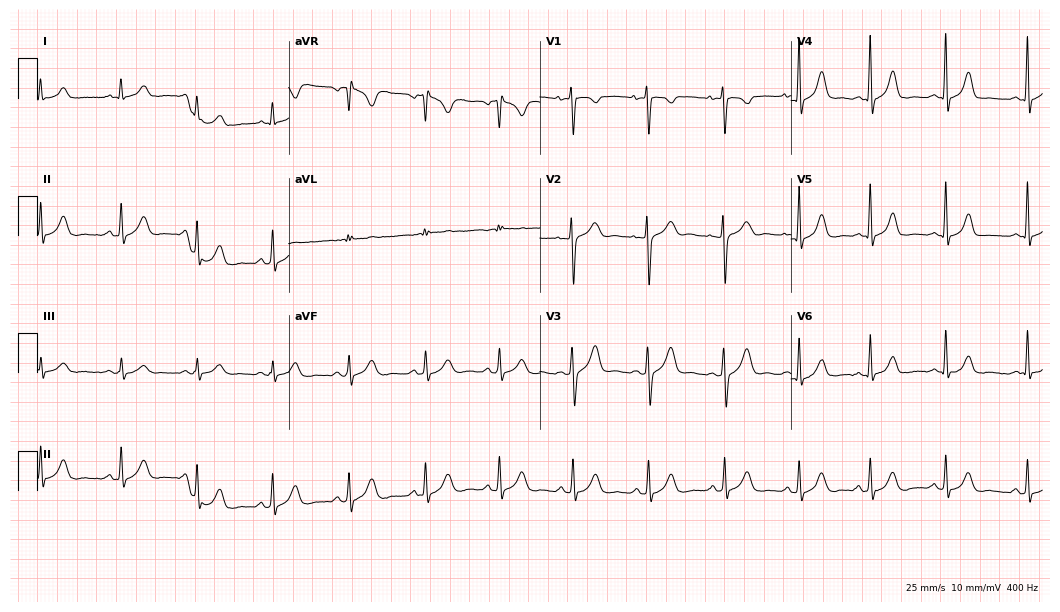
Resting 12-lead electrocardiogram. Patient: a female, 19 years old. Read as a normal ECG.